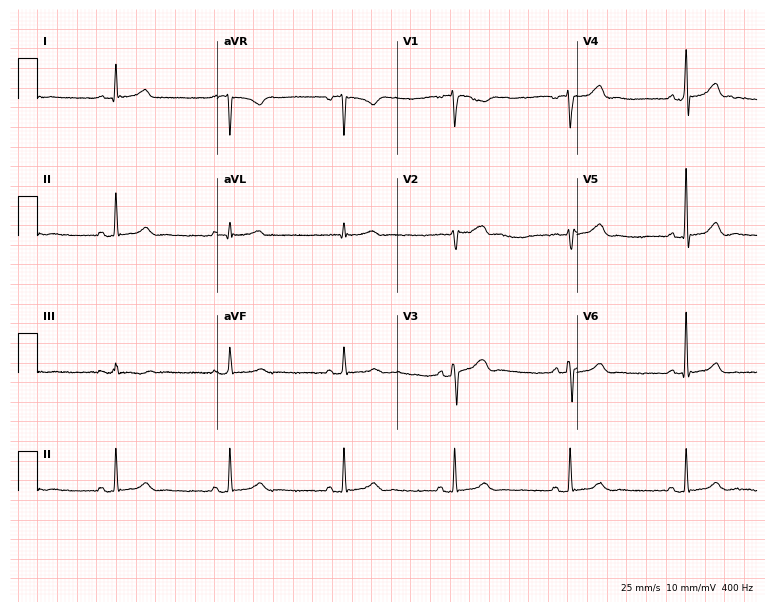
Resting 12-lead electrocardiogram. Patient: a 49-year-old female. None of these six findings is recorded: first-degree AV block, right bundle branch block, left bundle branch block, sinus bradycardia, atrial fibrillation, sinus tachycardia.